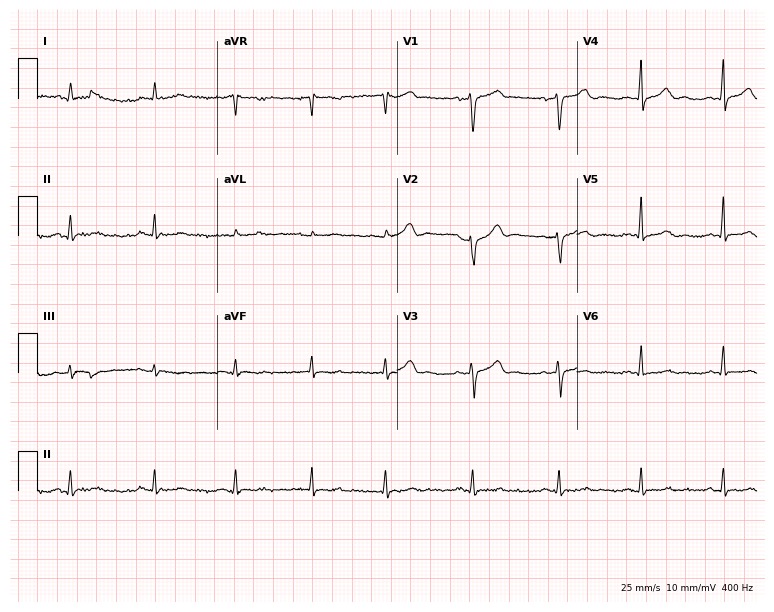
12-lead ECG from a 65-year-old male patient. Screened for six findings — first-degree AV block, right bundle branch block, left bundle branch block, sinus bradycardia, atrial fibrillation, sinus tachycardia — none is recorded. Only these six findings were labelled.